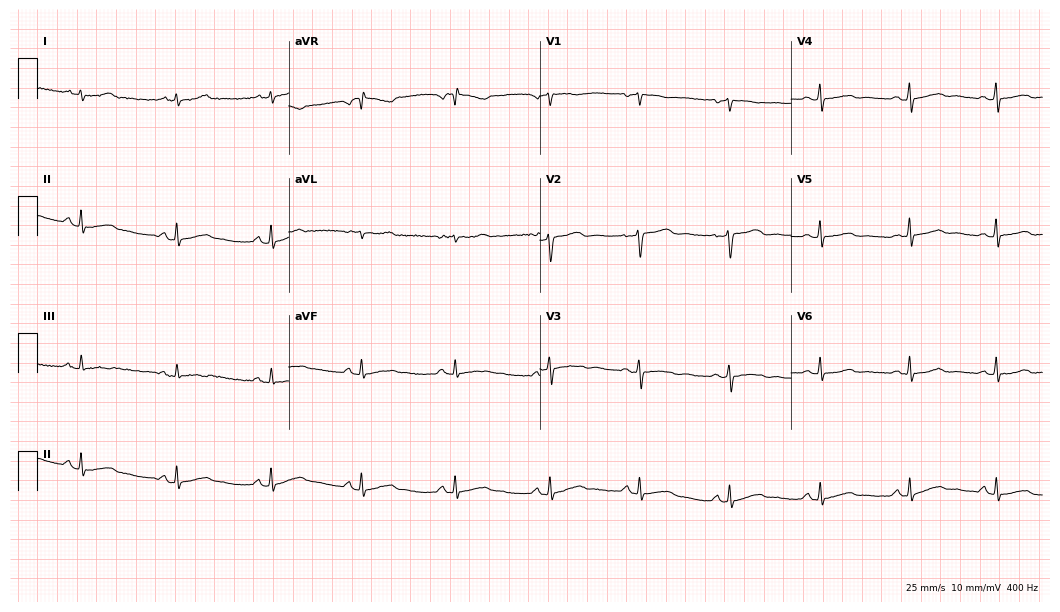
Standard 12-lead ECG recorded from a 48-year-old female (10.2-second recording at 400 Hz). Read as a normal ECG.